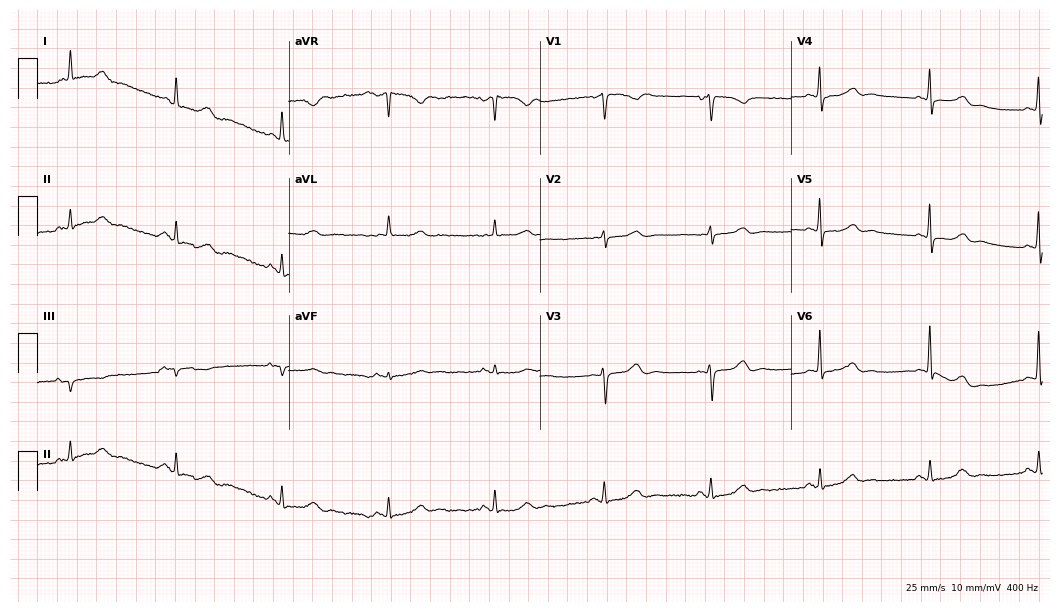
Resting 12-lead electrocardiogram (10.2-second recording at 400 Hz). Patient: a 78-year-old female. None of these six findings is recorded: first-degree AV block, right bundle branch block (RBBB), left bundle branch block (LBBB), sinus bradycardia, atrial fibrillation (AF), sinus tachycardia. Other findings, if any, are not listed.